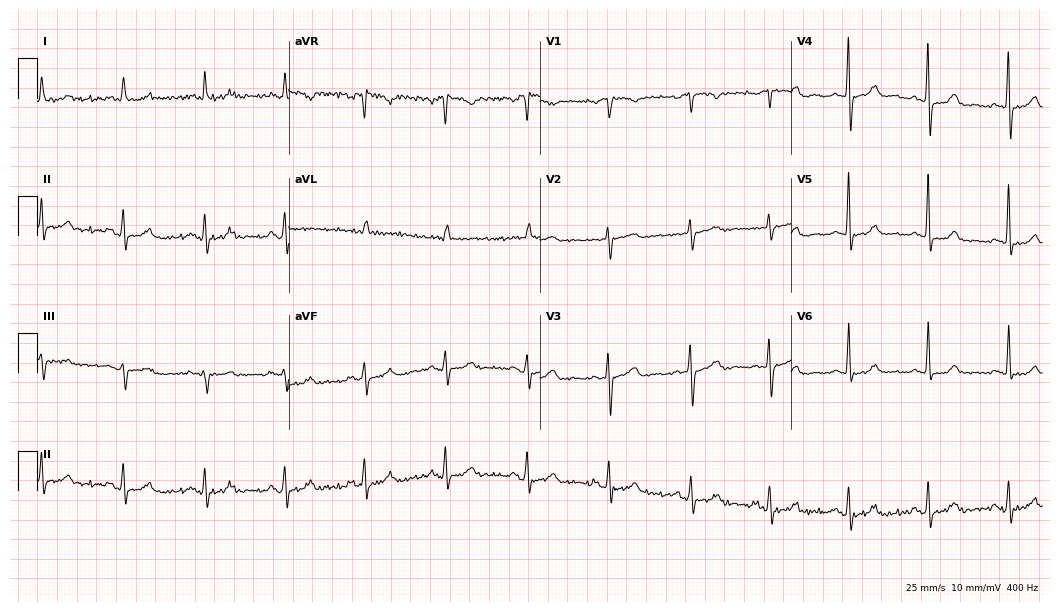
Resting 12-lead electrocardiogram. Patient: an 83-year-old female. None of these six findings is recorded: first-degree AV block, right bundle branch block, left bundle branch block, sinus bradycardia, atrial fibrillation, sinus tachycardia. Only these six findings were labelled.